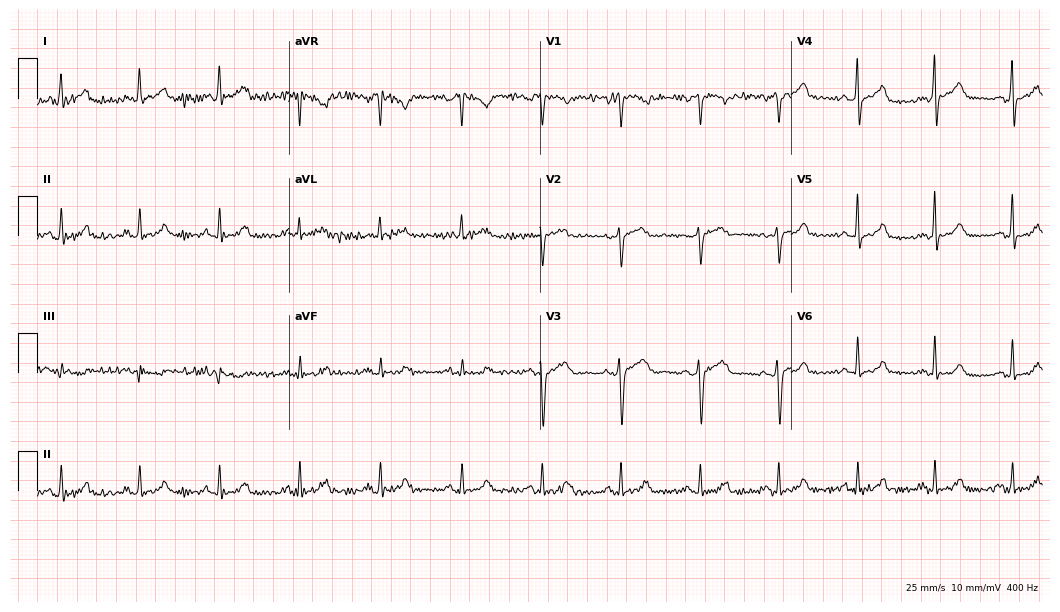
12-lead ECG from a female patient, 45 years old (10.2-second recording at 400 Hz). Recorded interpretation: within normal limits.